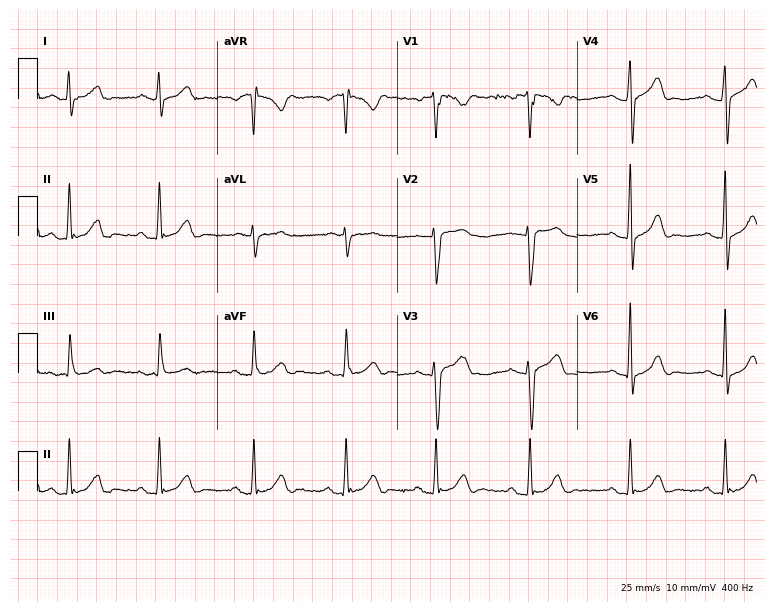
Standard 12-lead ECG recorded from a 43-year-old male patient. Read as a normal ECG.